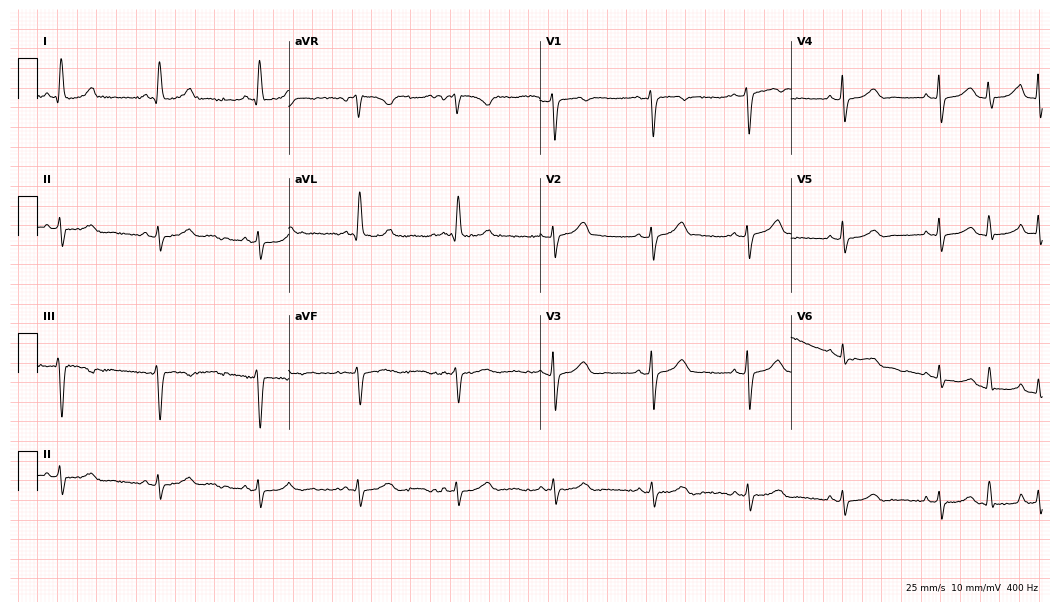
12-lead ECG from a 66-year-old female patient. Screened for six findings — first-degree AV block, right bundle branch block, left bundle branch block, sinus bradycardia, atrial fibrillation, sinus tachycardia — none is recorded.